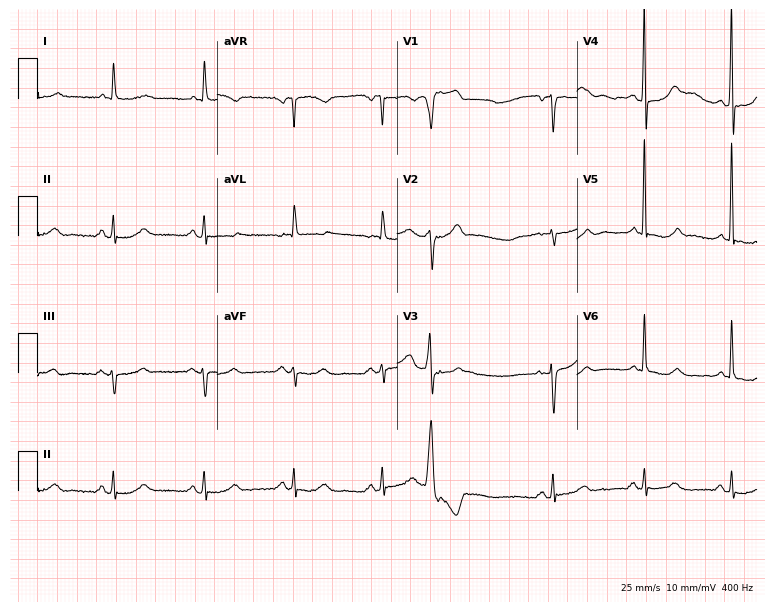
12-lead ECG (7.3-second recording at 400 Hz) from a female, 85 years old. Screened for six findings — first-degree AV block, right bundle branch block, left bundle branch block, sinus bradycardia, atrial fibrillation, sinus tachycardia — none is recorded.